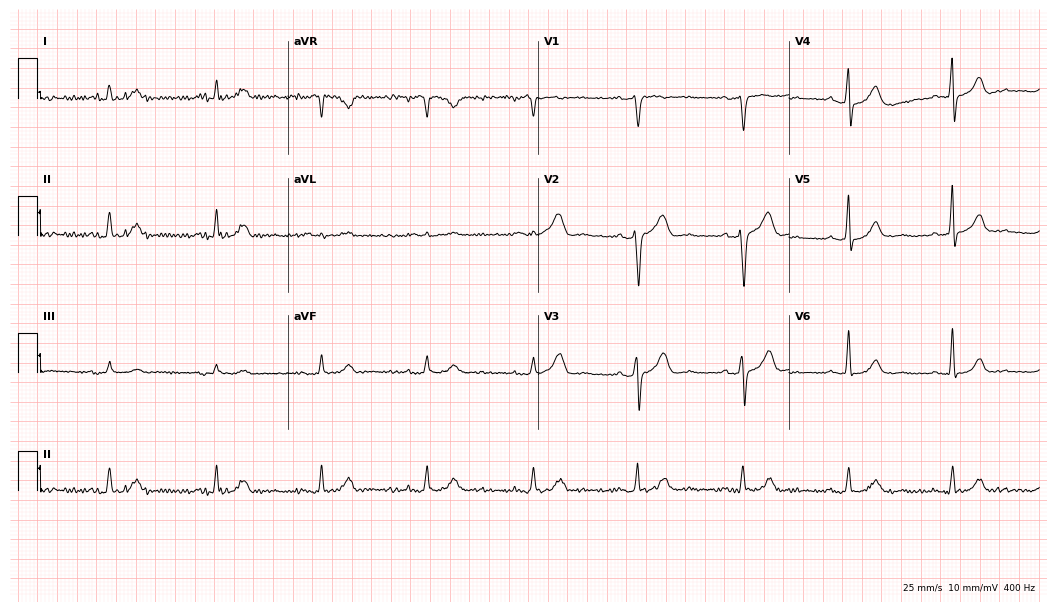
Resting 12-lead electrocardiogram. Patient: a 58-year-old male. Read as a normal ECG.